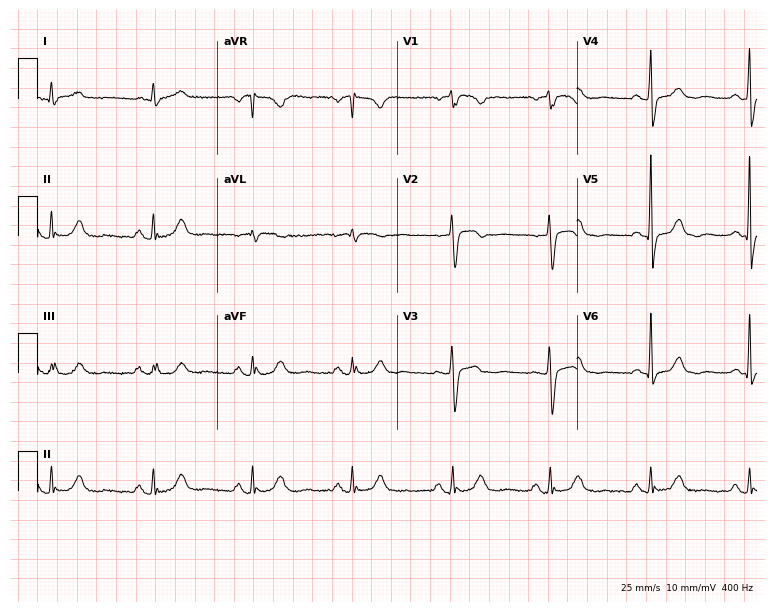
12-lead ECG (7.3-second recording at 400 Hz) from a female, 64 years old. Labelled as a normal ECG.